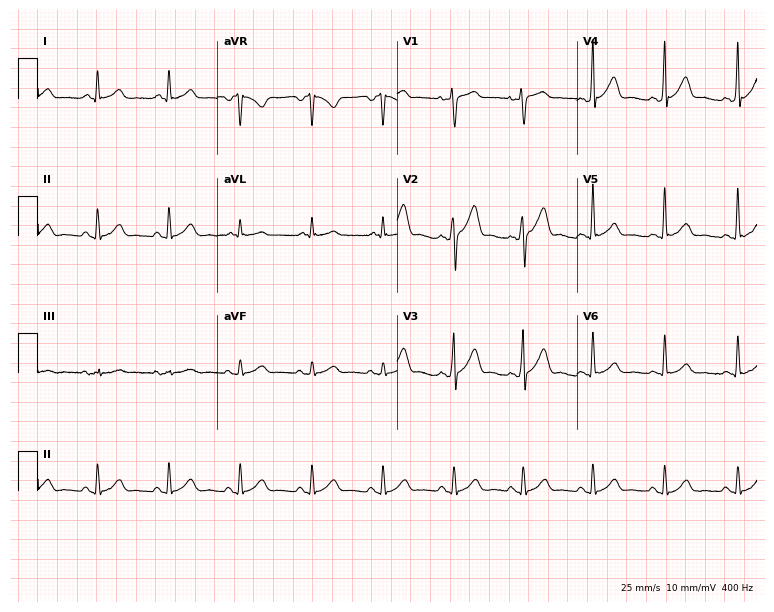
12-lead ECG from a 38-year-old male. Labelled as a normal ECG.